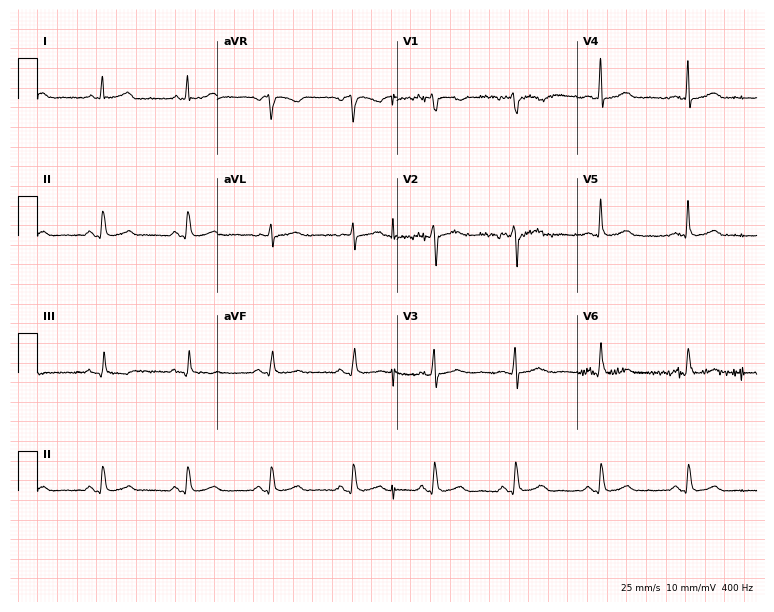
ECG (7.3-second recording at 400 Hz) — a 58-year-old woman. Labelled as a normal ECG.